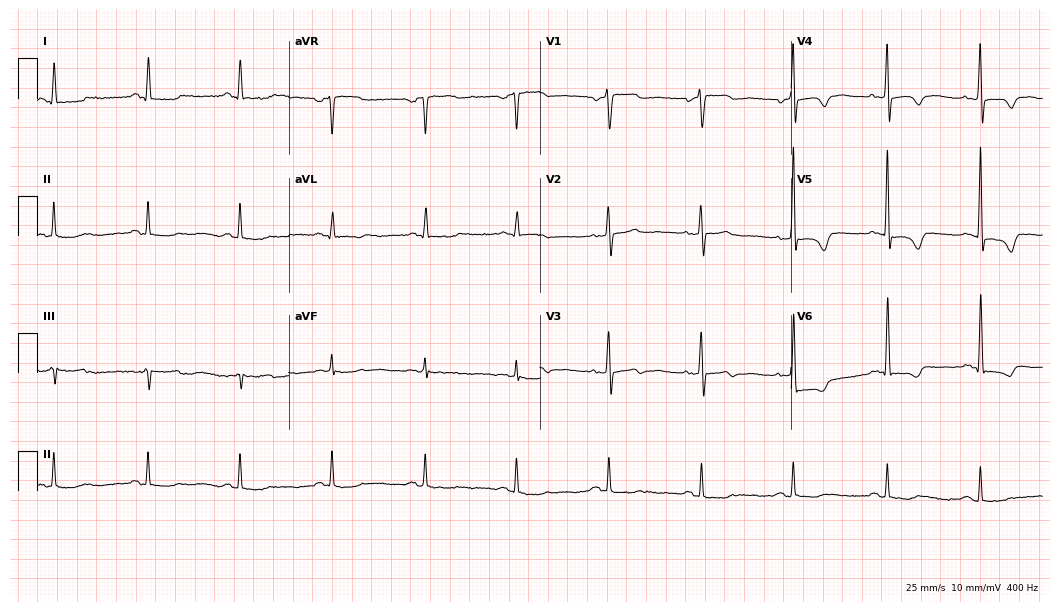
Resting 12-lead electrocardiogram. Patient: a 77-year-old woman. None of these six findings is recorded: first-degree AV block, right bundle branch block, left bundle branch block, sinus bradycardia, atrial fibrillation, sinus tachycardia.